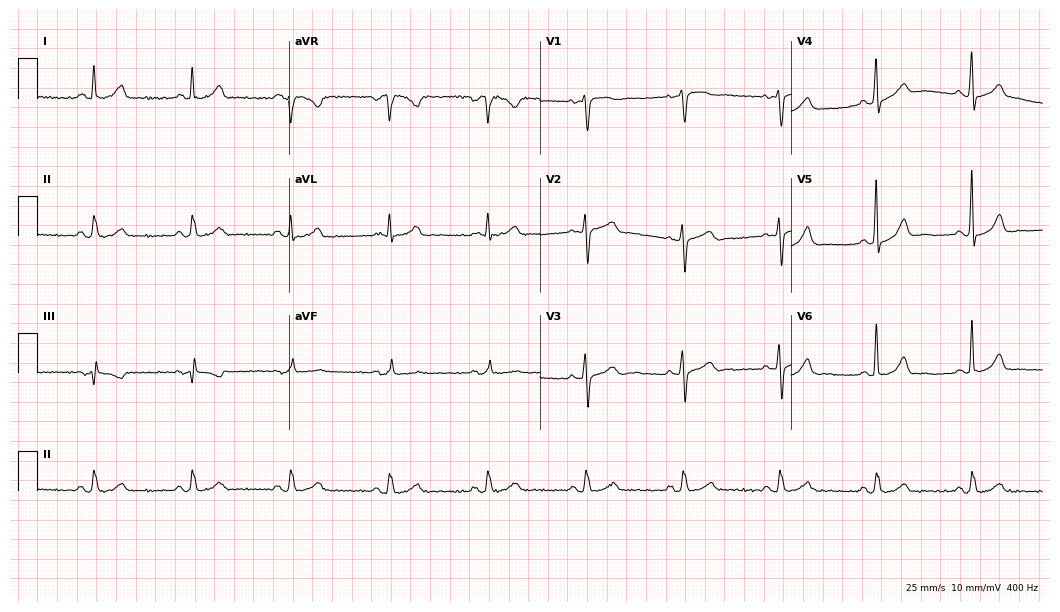
12-lead ECG from a 62-year-old male patient. Recorded interpretation: within normal limits.